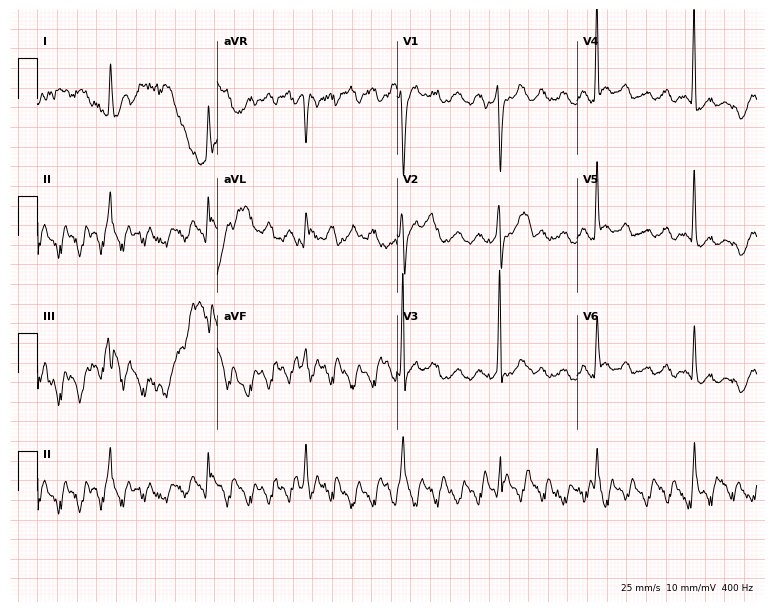
12-lead ECG from a 65-year-old male patient. No first-degree AV block, right bundle branch block (RBBB), left bundle branch block (LBBB), sinus bradycardia, atrial fibrillation (AF) or sinus tachycardia recorded for this tracing. Only these six findings were labelled.